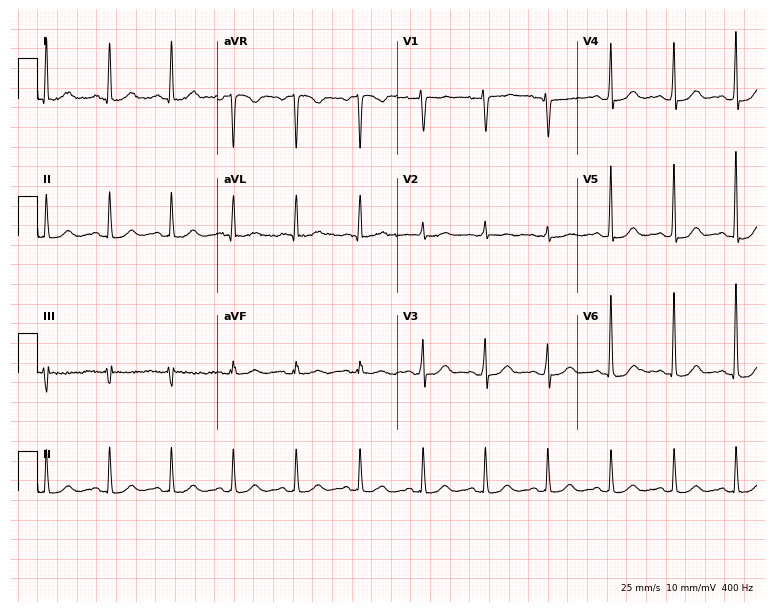
Electrocardiogram (7.3-second recording at 400 Hz), a 47-year-old female. Of the six screened findings (first-degree AV block, right bundle branch block (RBBB), left bundle branch block (LBBB), sinus bradycardia, atrial fibrillation (AF), sinus tachycardia), none is recorded.